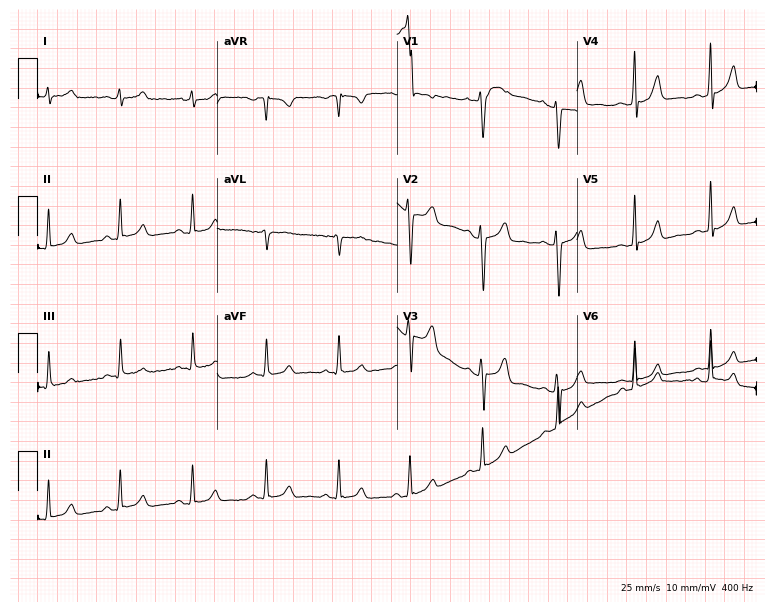
12-lead ECG (7.3-second recording at 400 Hz) from a female, 21 years old. Screened for six findings — first-degree AV block, right bundle branch block, left bundle branch block, sinus bradycardia, atrial fibrillation, sinus tachycardia — none is recorded.